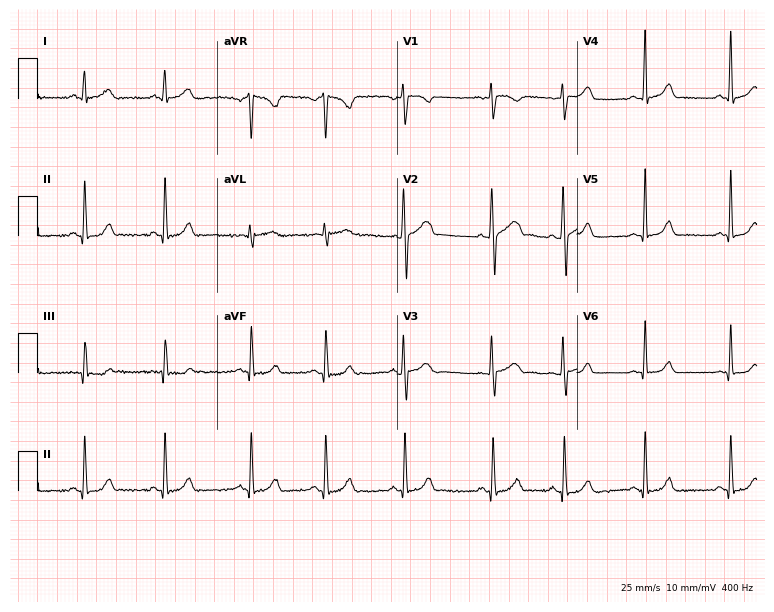
12-lead ECG from a female patient, 22 years old. Labelled as a normal ECG.